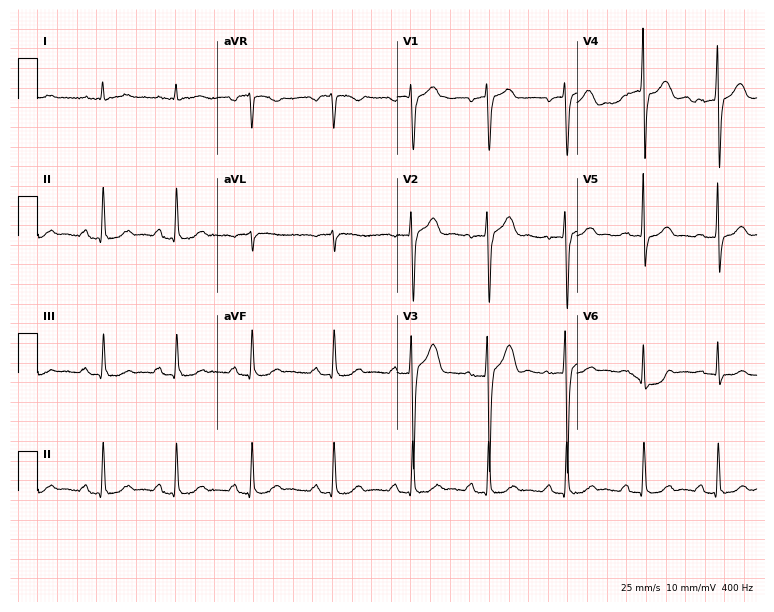
Standard 12-lead ECG recorded from a 51-year-old man (7.3-second recording at 400 Hz). Read as a normal ECG.